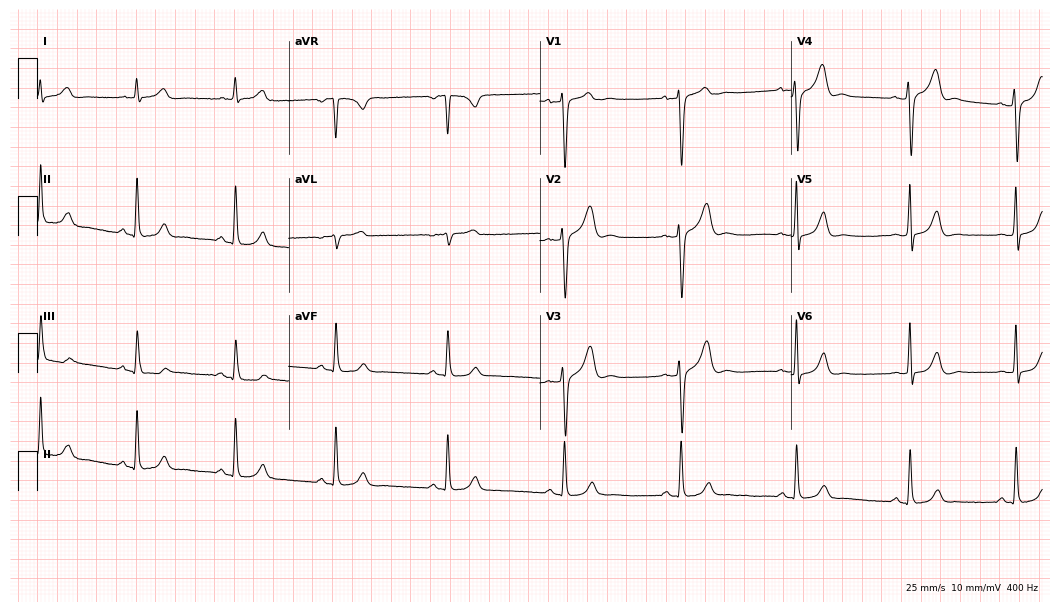
Electrocardiogram (10.2-second recording at 400 Hz), a male patient, 43 years old. Of the six screened findings (first-degree AV block, right bundle branch block, left bundle branch block, sinus bradycardia, atrial fibrillation, sinus tachycardia), none is recorded.